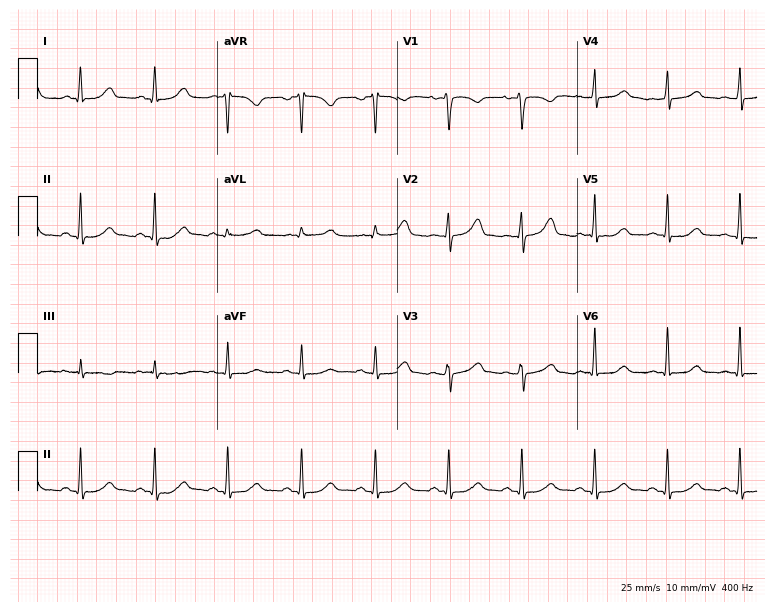
Standard 12-lead ECG recorded from a woman, 52 years old (7.3-second recording at 400 Hz). None of these six findings is recorded: first-degree AV block, right bundle branch block, left bundle branch block, sinus bradycardia, atrial fibrillation, sinus tachycardia. Other findings, if any, are not listed.